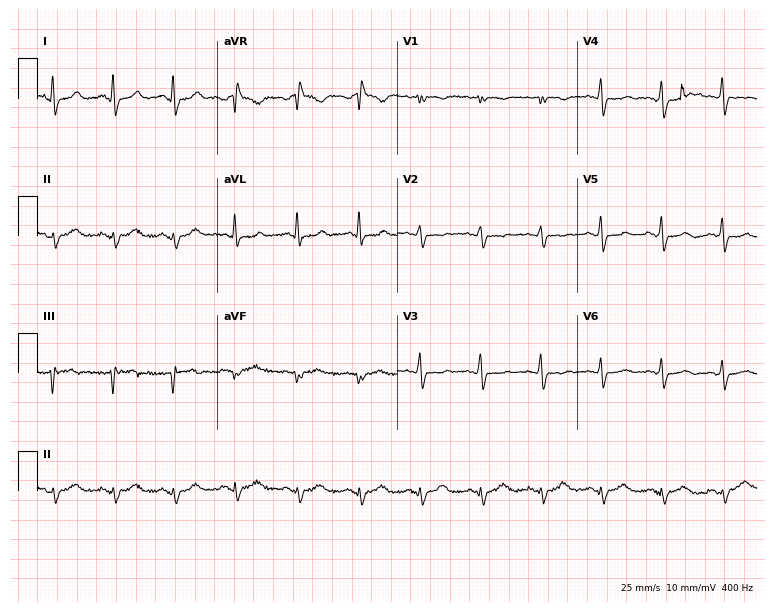
12-lead ECG (7.3-second recording at 400 Hz) from a female, 35 years old. Screened for six findings — first-degree AV block, right bundle branch block, left bundle branch block, sinus bradycardia, atrial fibrillation, sinus tachycardia — none is recorded. Findings outside these six are not listed.